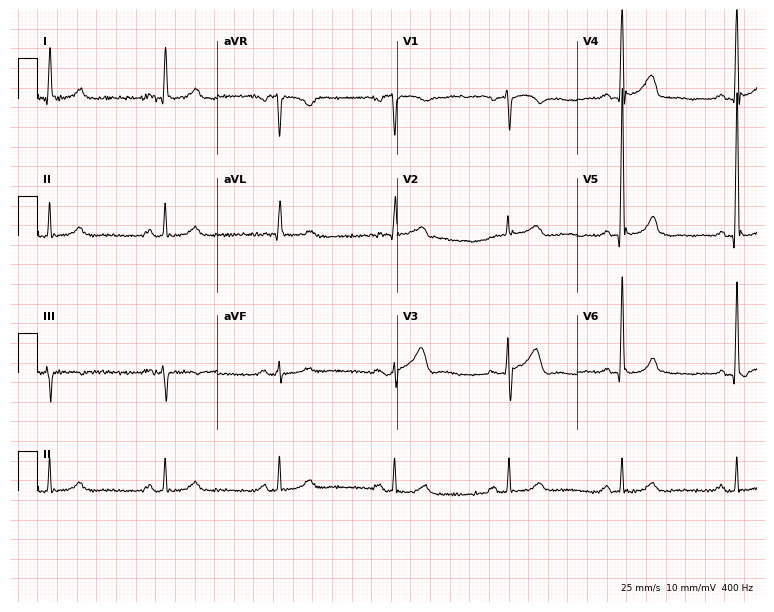
Standard 12-lead ECG recorded from a male patient, 65 years old. Read as a normal ECG.